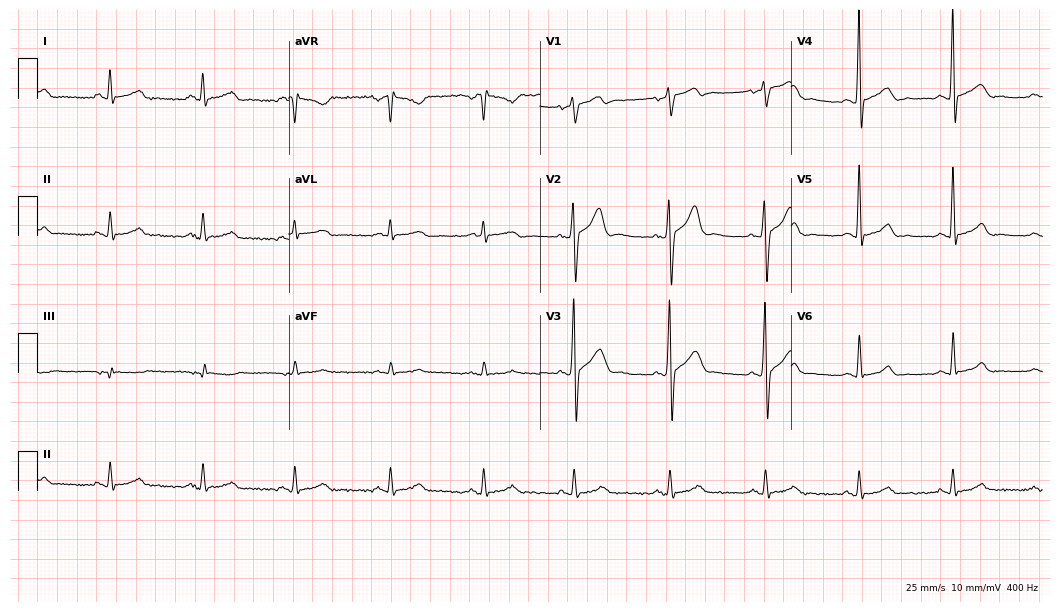
Electrocardiogram, a male patient, 35 years old. Of the six screened findings (first-degree AV block, right bundle branch block, left bundle branch block, sinus bradycardia, atrial fibrillation, sinus tachycardia), none is recorded. Only these six findings were labelled.